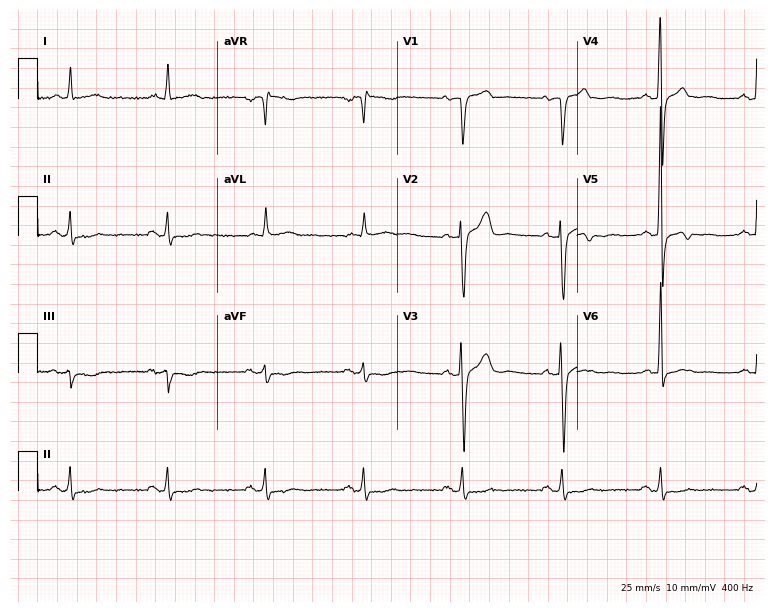
Electrocardiogram (7.3-second recording at 400 Hz), a male, 64 years old. Of the six screened findings (first-degree AV block, right bundle branch block, left bundle branch block, sinus bradycardia, atrial fibrillation, sinus tachycardia), none is recorded.